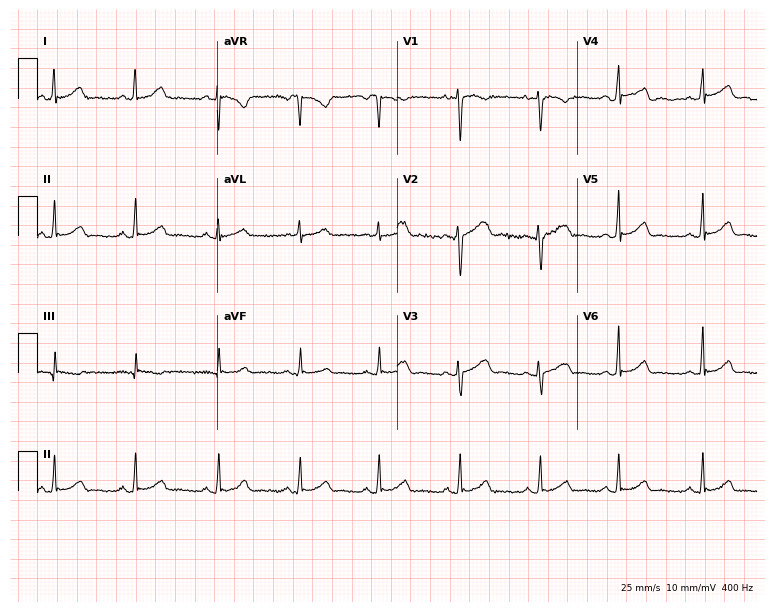
12-lead ECG from a 28-year-old female (7.3-second recording at 400 Hz). Recorded interpretation: within normal limits.